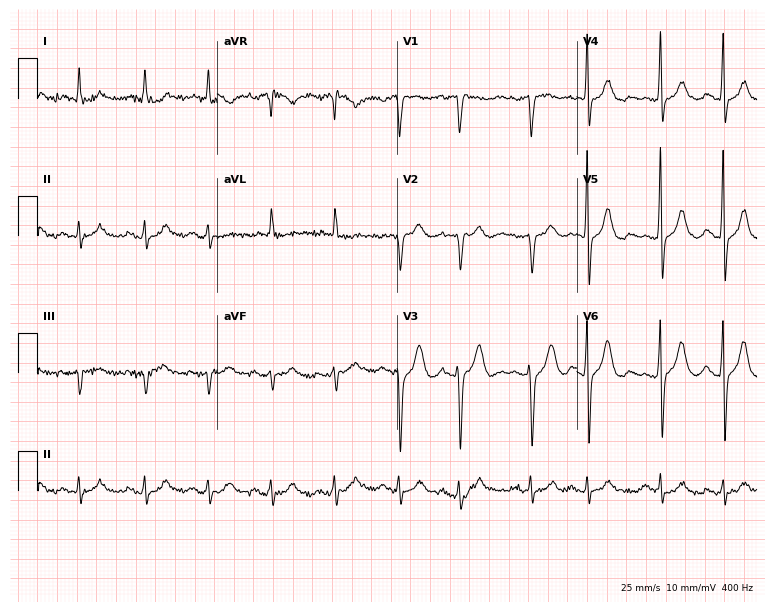
12-lead ECG from a male patient, 77 years old. No first-degree AV block, right bundle branch block, left bundle branch block, sinus bradycardia, atrial fibrillation or sinus tachycardia recorded for this tracing.